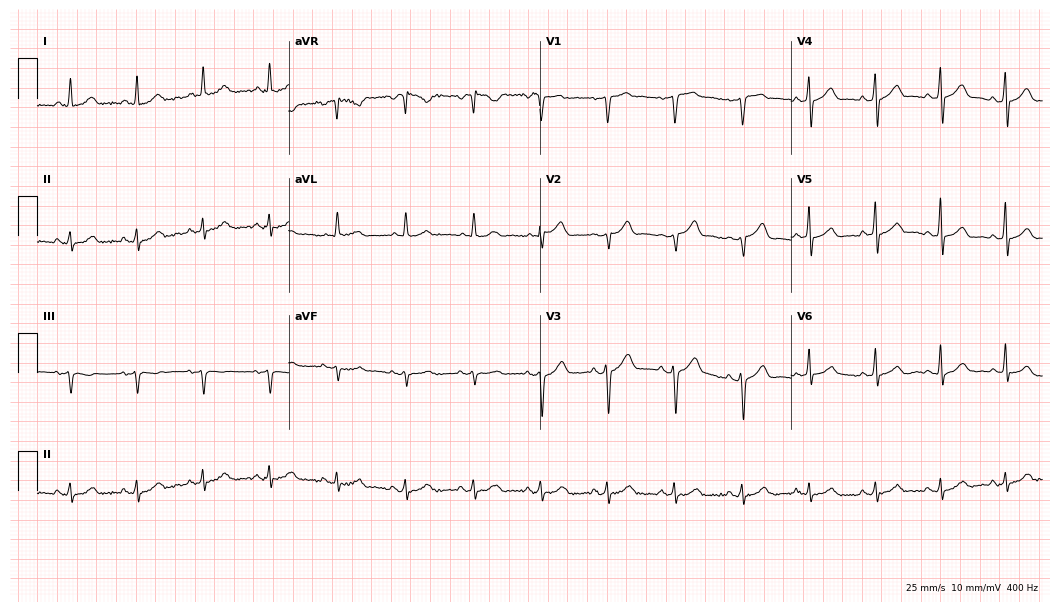
Electrocardiogram (10.2-second recording at 400 Hz), a male patient, 56 years old. Overall reading on record: normal ECG.